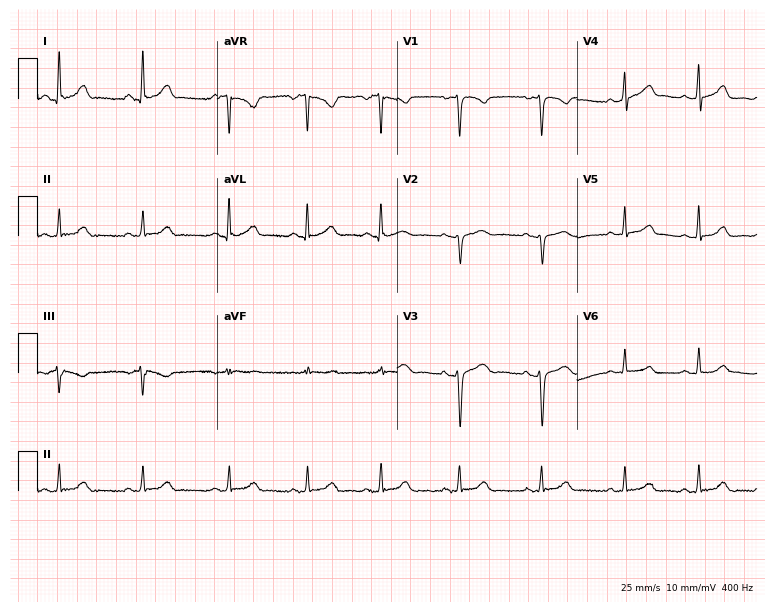
12-lead ECG from a woman, 26 years old. Labelled as a normal ECG.